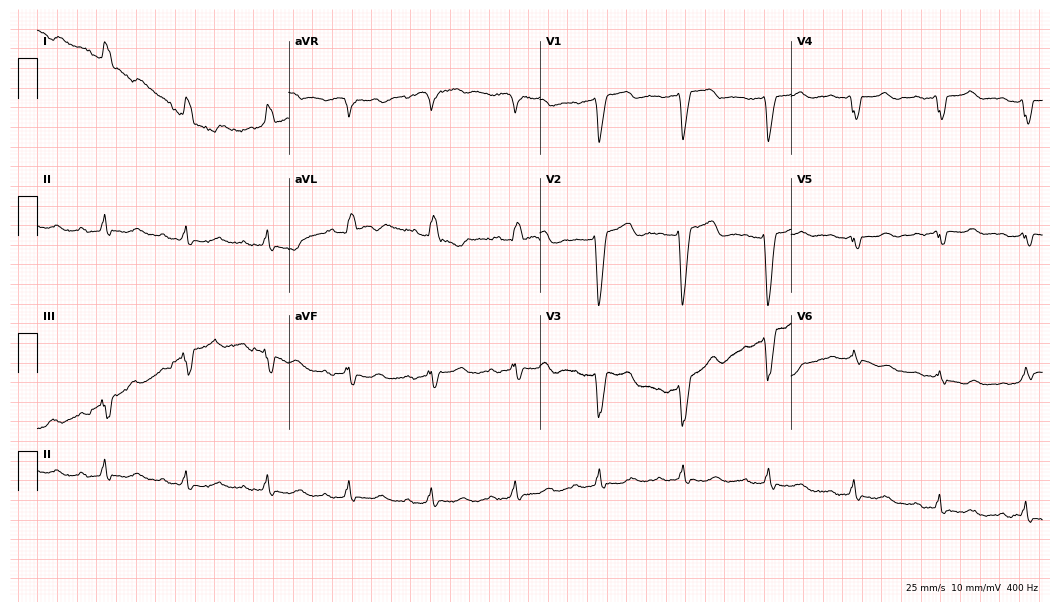
12-lead ECG from a female patient, 79 years old. Screened for six findings — first-degree AV block, right bundle branch block (RBBB), left bundle branch block (LBBB), sinus bradycardia, atrial fibrillation (AF), sinus tachycardia — none is recorded. Only these six findings were labelled.